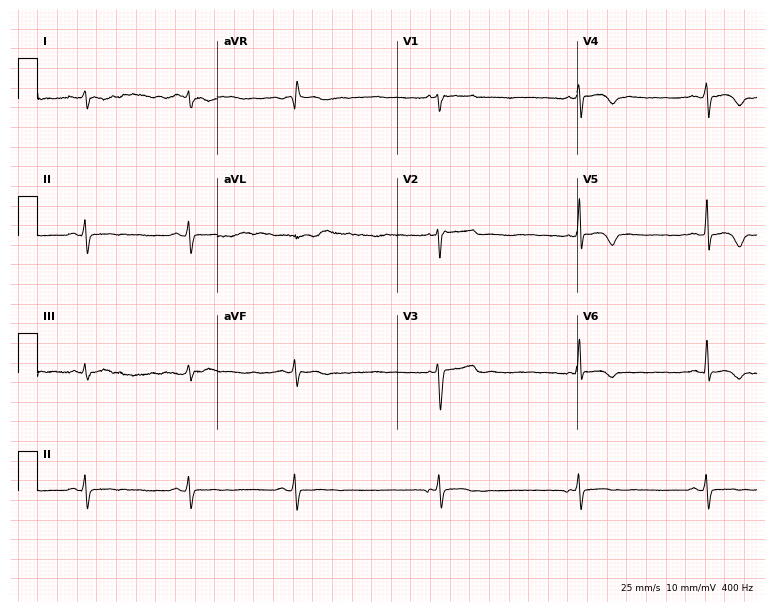
Resting 12-lead electrocardiogram (7.3-second recording at 400 Hz). Patient: a 35-year-old female. None of these six findings is recorded: first-degree AV block, right bundle branch block, left bundle branch block, sinus bradycardia, atrial fibrillation, sinus tachycardia.